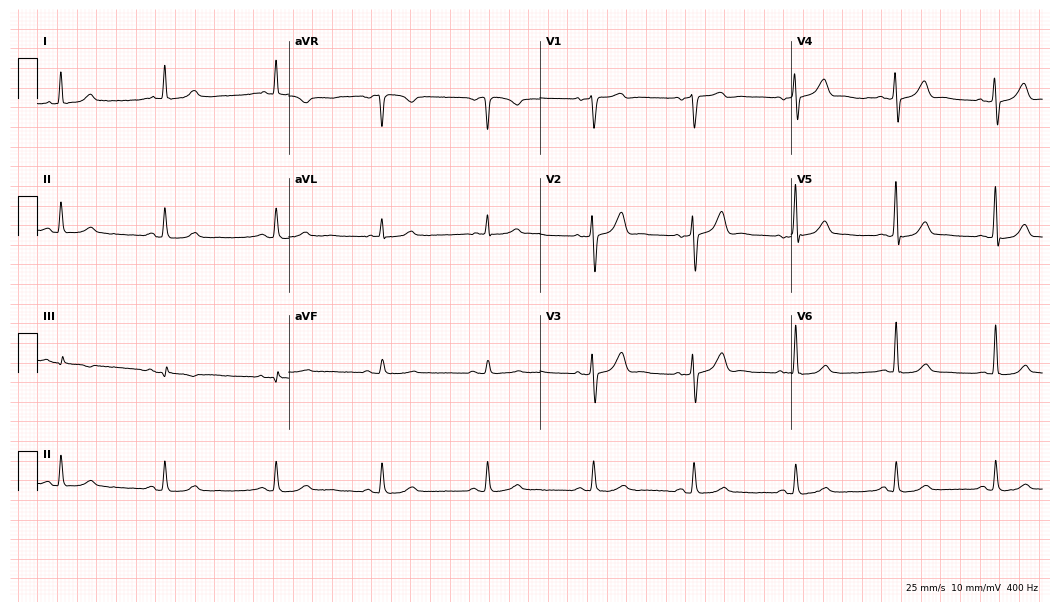
12-lead ECG from a 56-year-old male. Labelled as a normal ECG.